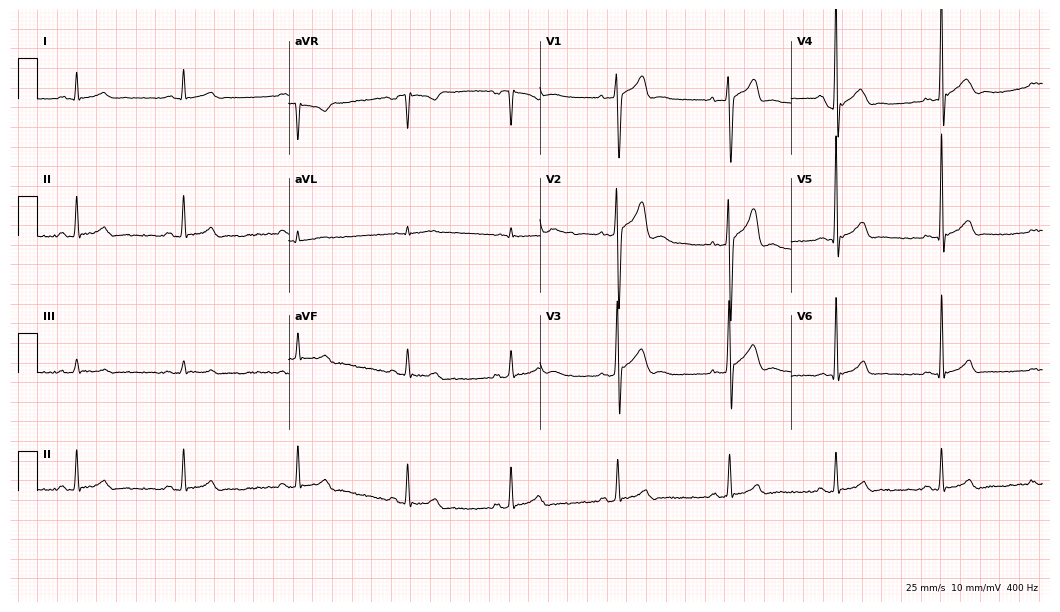
12-lead ECG from a man, 17 years old (10.2-second recording at 400 Hz). Recorded interpretation: within normal limits.